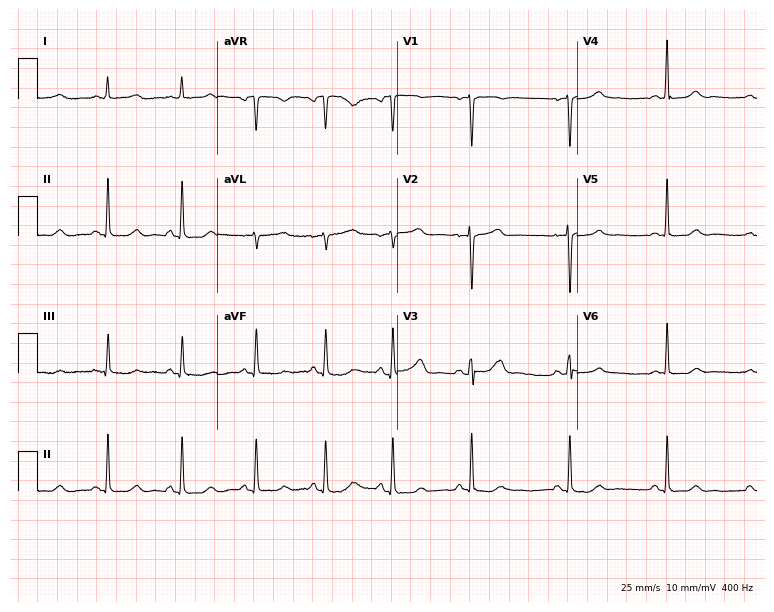
Standard 12-lead ECG recorded from a female patient, 37 years old (7.3-second recording at 400 Hz). None of these six findings is recorded: first-degree AV block, right bundle branch block (RBBB), left bundle branch block (LBBB), sinus bradycardia, atrial fibrillation (AF), sinus tachycardia.